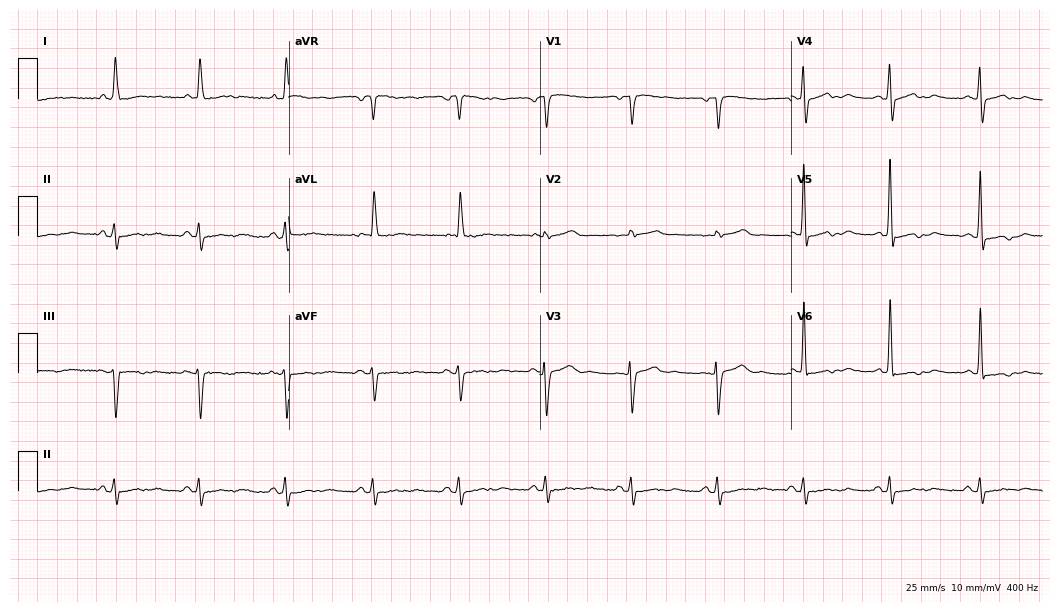
Standard 12-lead ECG recorded from a female, 85 years old. None of these six findings is recorded: first-degree AV block, right bundle branch block, left bundle branch block, sinus bradycardia, atrial fibrillation, sinus tachycardia.